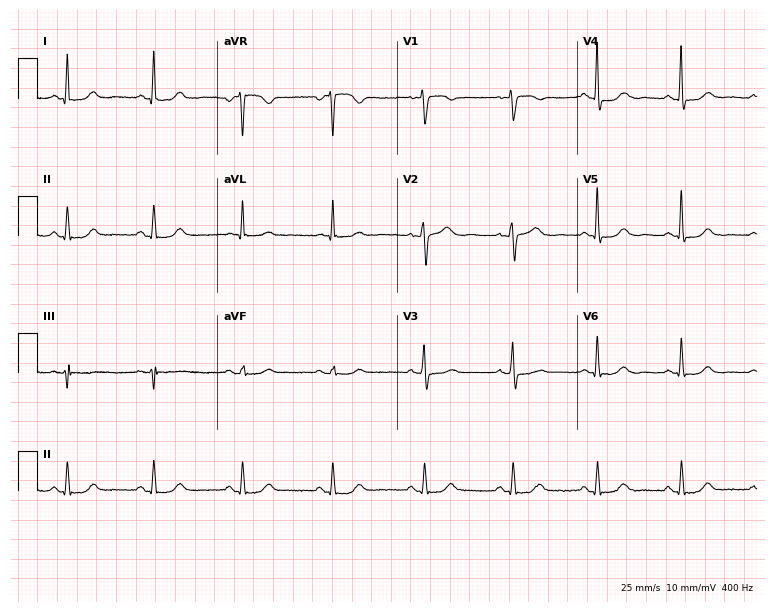
Electrocardiogram (7.3-second recording at 400 Hz), a 57-year-old woman. Overall reading on record: normal ECG.